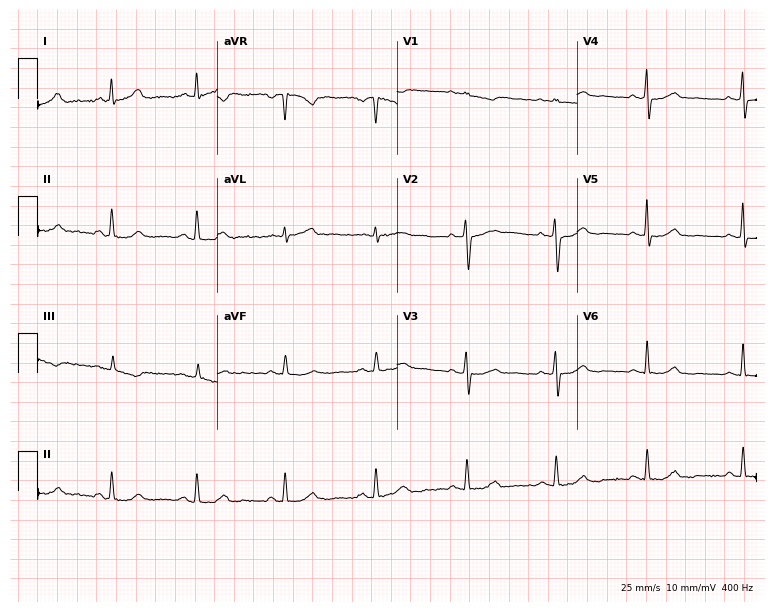
ECG (7.3-second recording at 400 Hz) — a 48-year-old female. Screened for six findings — first-degree AV block, right bundle branch block, left bundle branch block, sinus bradycardia, atrial fibrillation, sinus tachycardia — none is recorded. Findings outside these six are not listed.